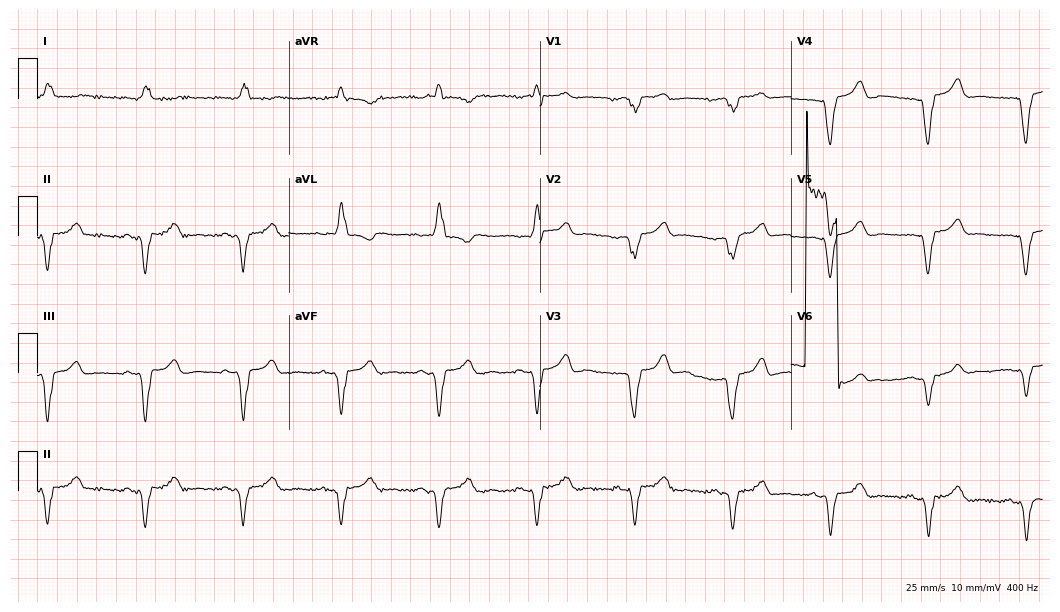
12-lead ECG from a 64-year-old woman. No first-degree AV block, right bundle branch block, left bundle branch block, sinus bradycardia, atrial fibrillation or sinus tachycardia recorded for this tracing. Findings outside these six are not listed.